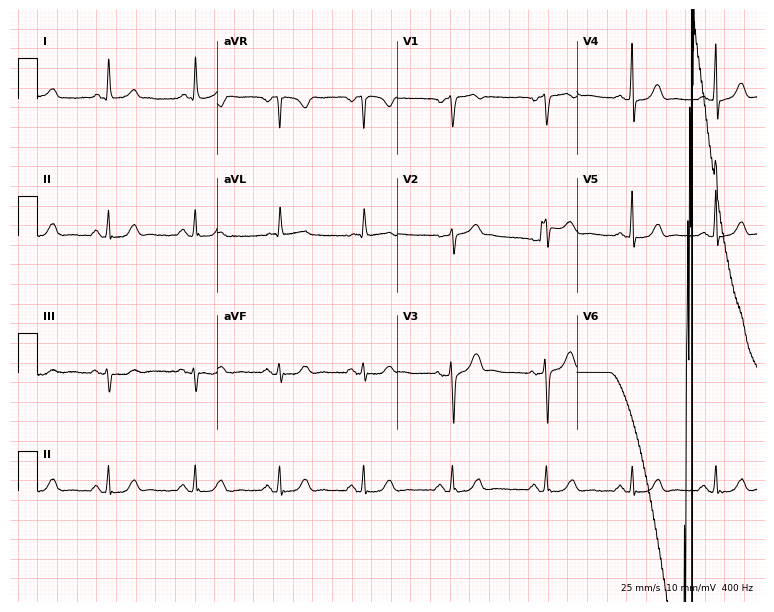
12-lead ECG from a 60-year-old female. Labelled as a normal ECG.